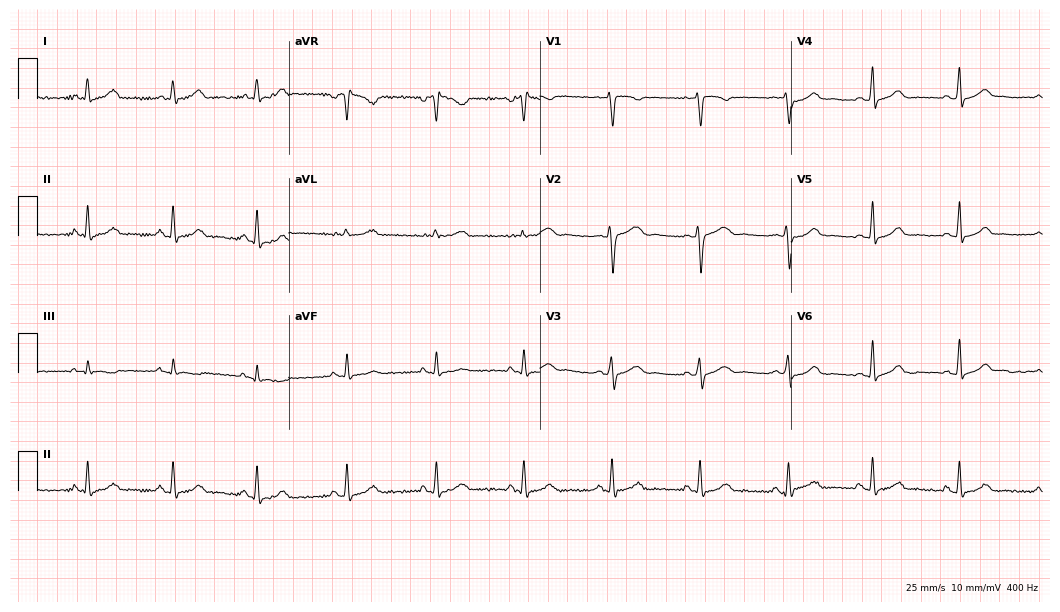
12-lead ECG (10.2-second recording at 400 Hz) from a female patient, 37 years old. Labelled as a normal ECG.